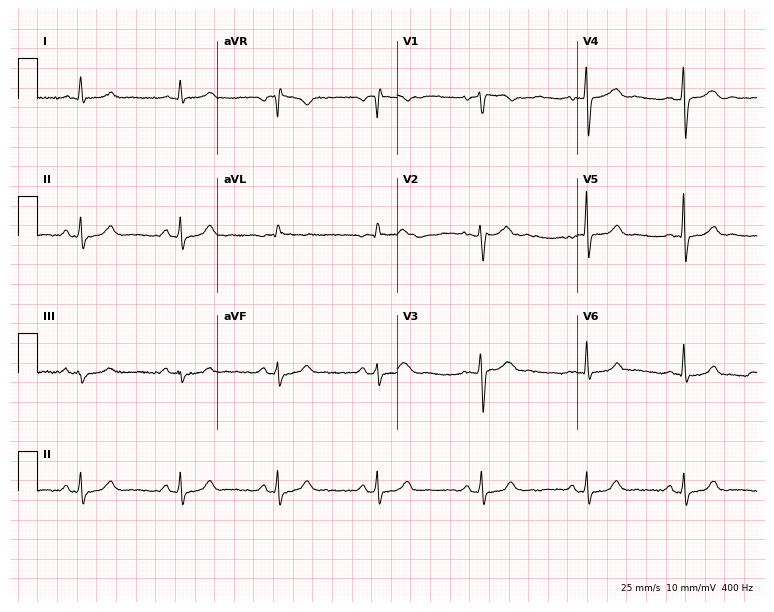
ECG — a female, 48 years old. Screened for six findings — first-degree AV block, right bundle branch block, left bundle branch block, sinus bradycardia, atrial fibrillation, sinus tachycardia — none is recorded.